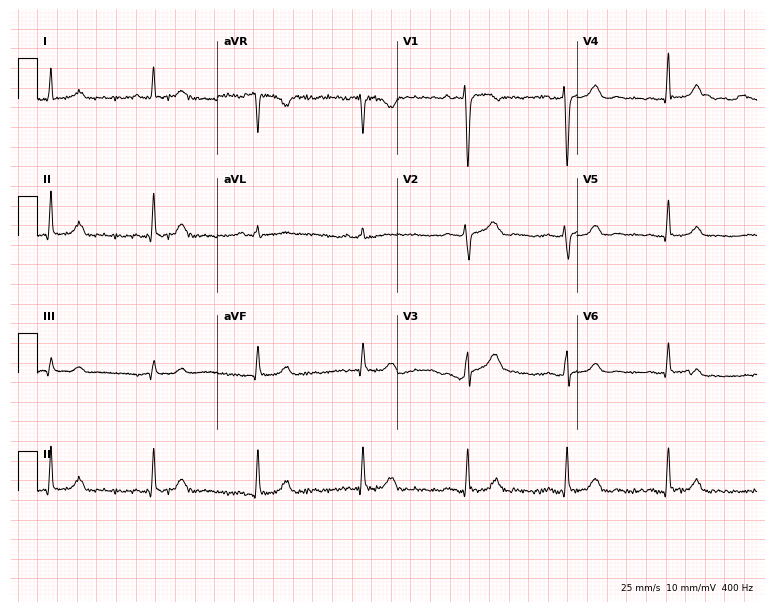
Resting 12-lead electrocardiogram. Patient: a female, 22 years old. Read as a normal ECG.